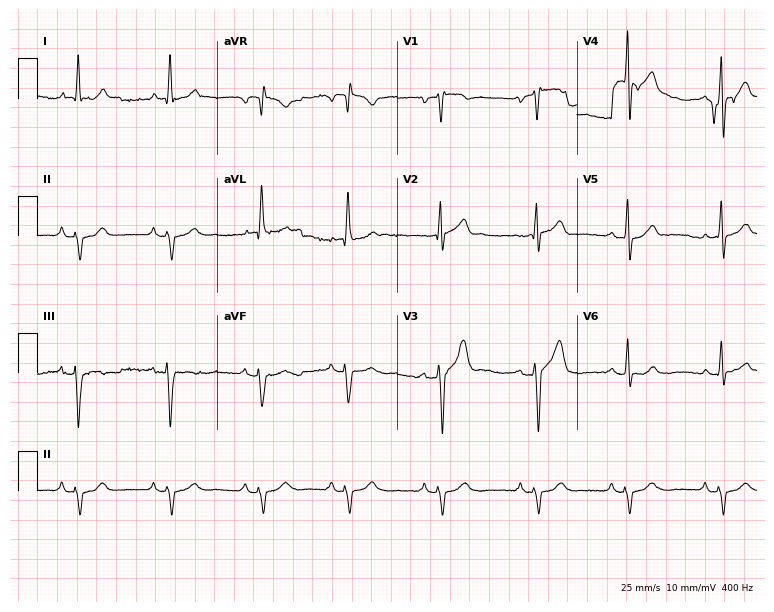
12-lead ECG from a 73-year-old male (7.3-second recording at 400 Hz). No first-degree AV block, right bundle branch block, left bundle branch block, sinus bradycardia, atrial fibrillation or sinus tachycardia recorded for this tracing.